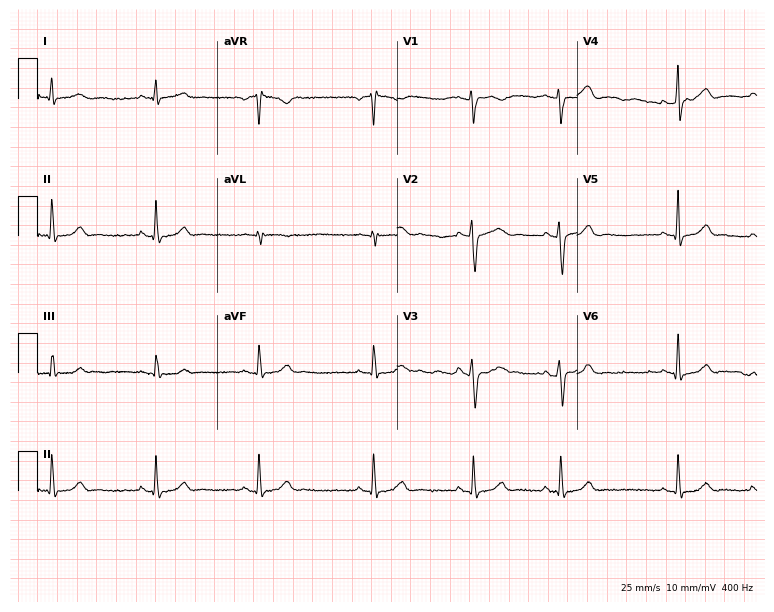
ECG (7.3-second recording at 400 Hz) — a woman, 23 years old. Screened for six findings — first-degree AV block, right bundle branch block, left bundle branch block, sinus bradycardia, atrial fibrillation, sinus tachycardia — none is recorded.